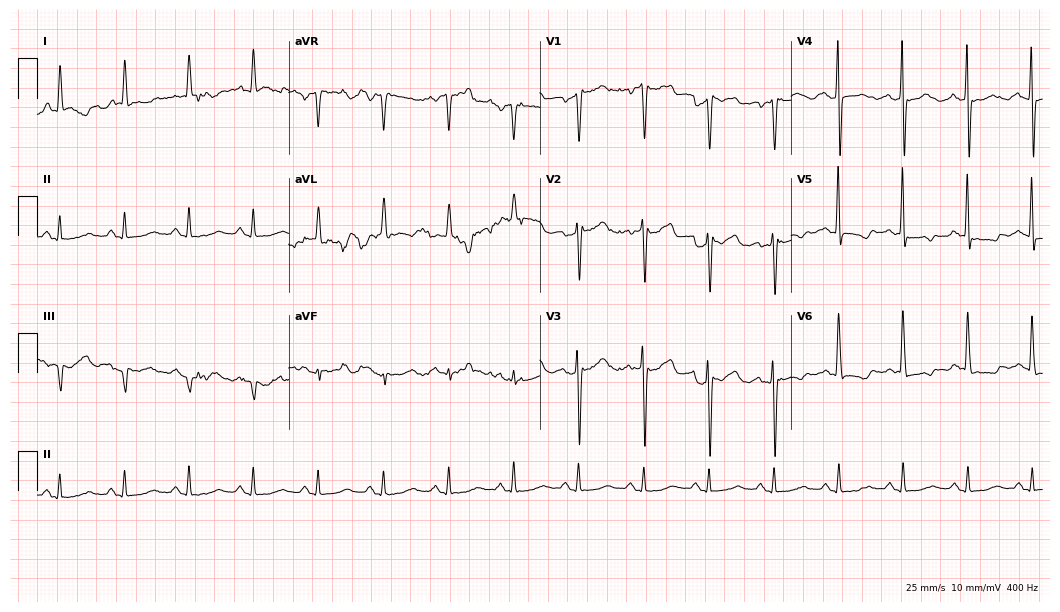
Resting 12-lead electrocardiogram (10.2-second recording at 400 Hz). Patient: a 69-year-old female. None of these six findings is recorded: first-degree AV block, right bundle branch block (RBBB), left bundle branch block (LBBB), sinus bradycardia, atrial fibrillation (AF), sinus tachycardia.